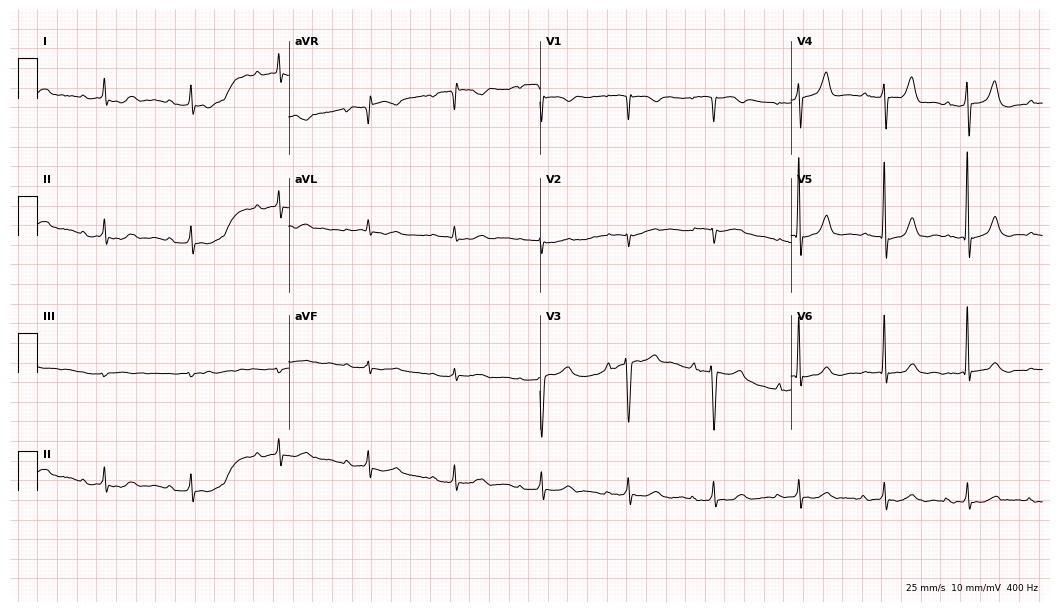
ECG — an 80-year-old female. Labelled as a normal ECG.